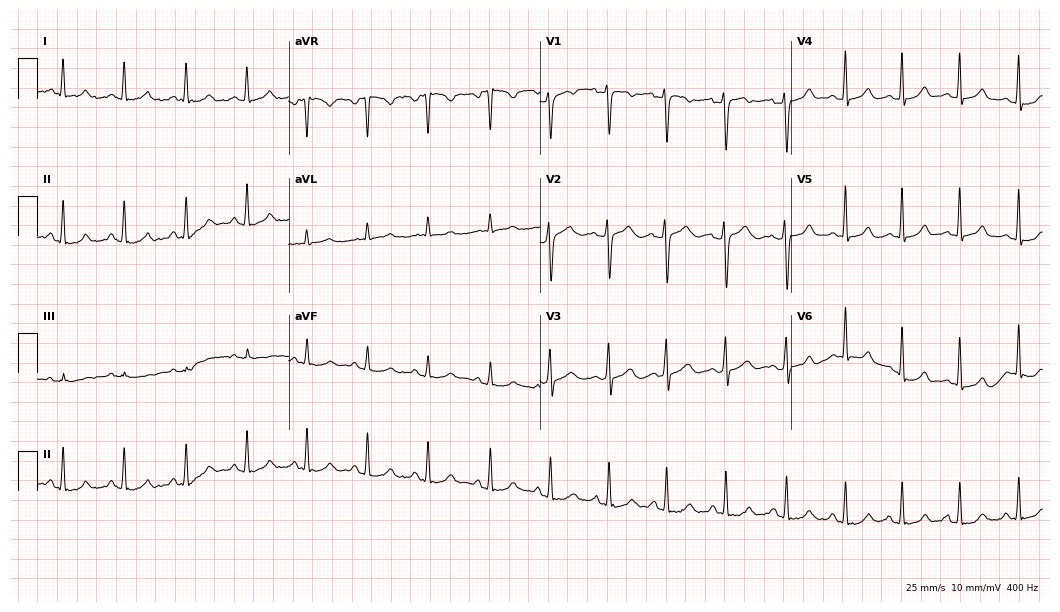
ECG (10.2-second recording at 400 Hz) — a female patient, 25 years old. Labelled as a normal ECG.